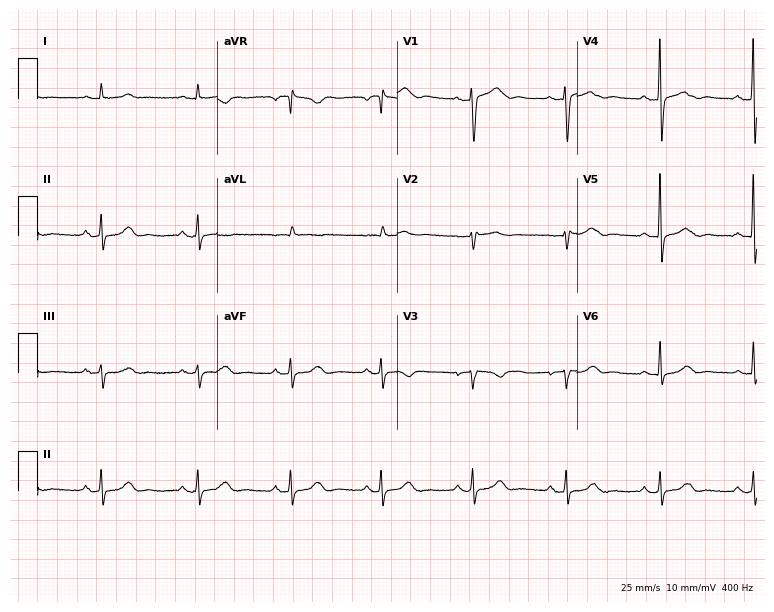
12-lead ECG from a 62-year-old female. Labelled as a normal ECG.